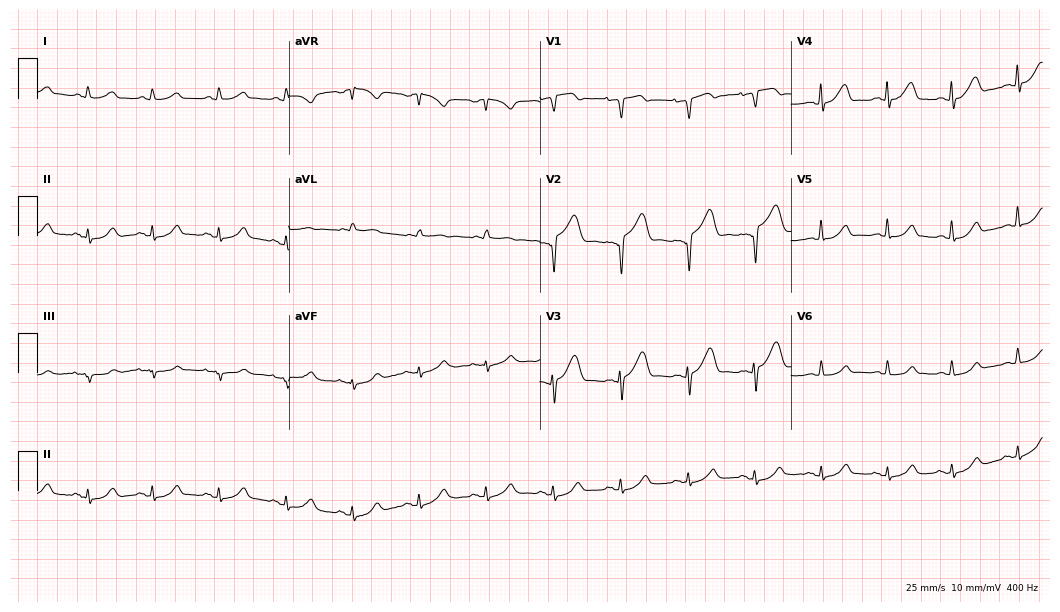
Standard 12-lead ECG recorded from a 64-year-old woman. None of these six findings is recorded: first-degree AV block, right bundle branch block, left bundle branch block, sinus bradycardia, atrial fibrillation, sinus tachycardia.